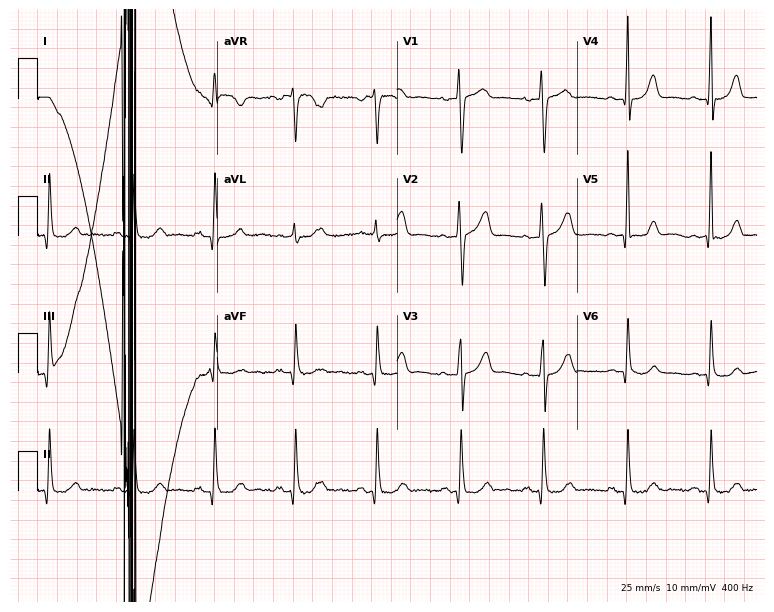
Standard 12-lead ECG recorded from a 37-year-old woman. None of these six findings is recorded: first-degree AV block, right bundle branch block, left bundle branch block, sinus bradycardia, atrial fibrillation, sinus tachycardia.